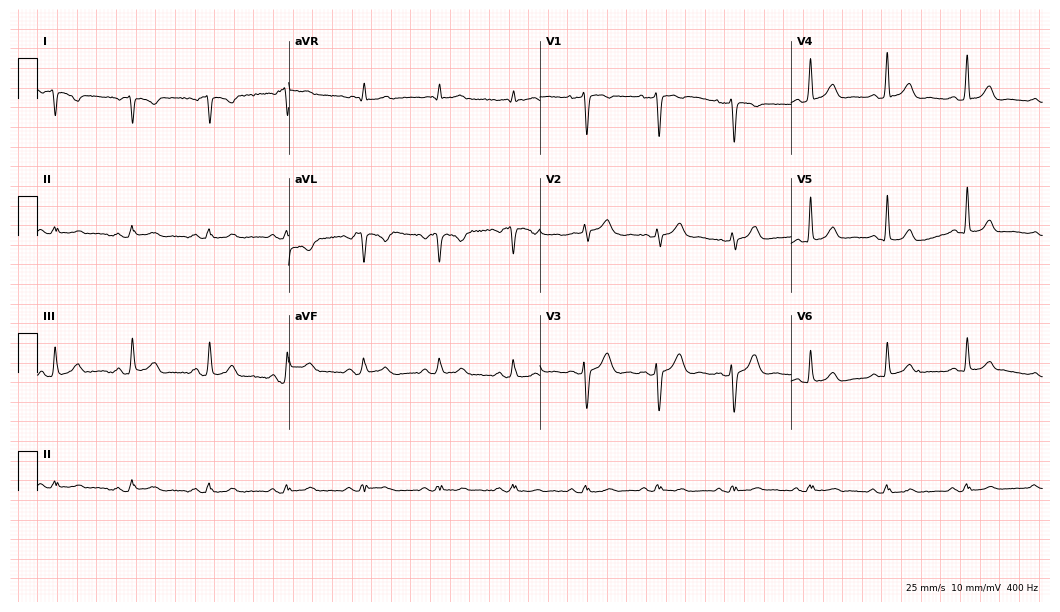
Standard 12-lead ECG recorded from a man, 37 years old (10.2-second recording at 400 Hz). None of these six findings is recorded: first-degree AV block, right bundle branch block, left bundle branch block, sinus bradycardia, atrial fibrillation, sinus tachycardia.